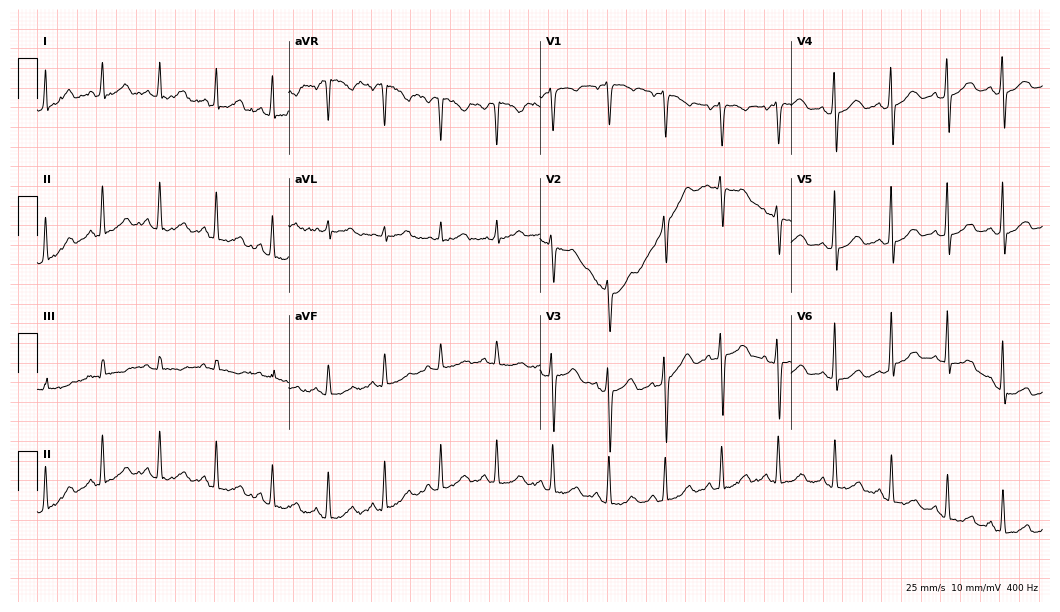
Electrocardiogram (10.2-second recording at 400 Hz), a woman, 32 years old. Interpretation includes sinus tachycardia (a sinus rate of 100 beats per minute or more).